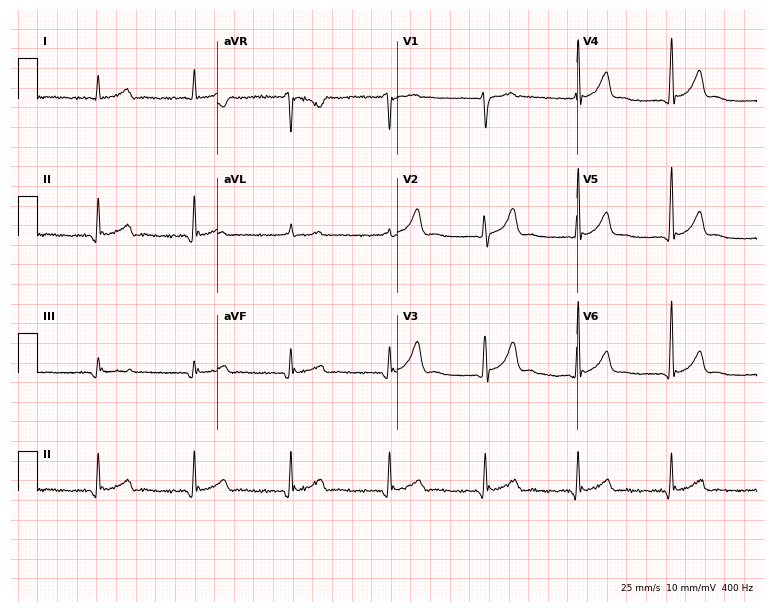
12-lead ECG from a female, 35 years old (7.3-second recording at 400 Hz). No first-degree AV block, right bundle branch block, left bundle branch block, sinus bradycardia, atrial fibrillation or sinus tachycardia recorded for this tracing.